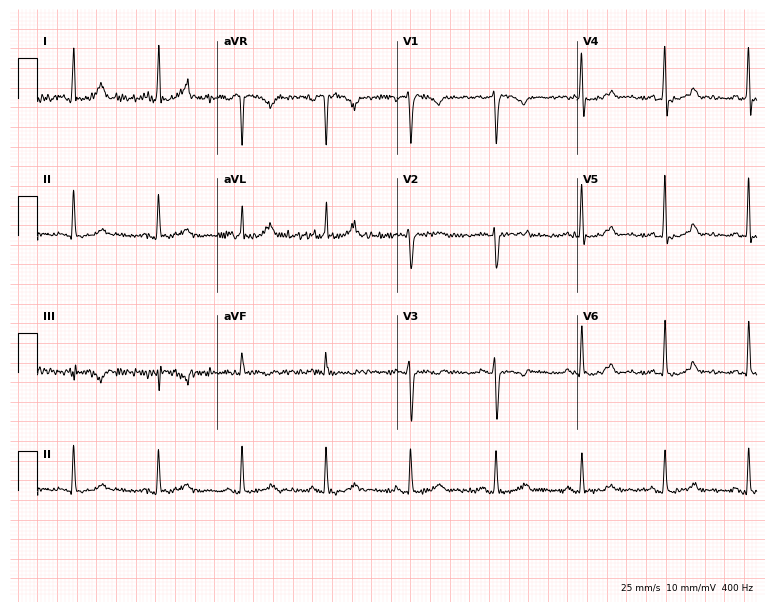
Resting 12-lead electrocardiogram. Patient: a man, 41 years old. None of these six findings is recorded: first-degree AV block, right bundle branch block, left bundle branch block, sinus bradycardia, atrial fibrillation, sinus tachycardia.